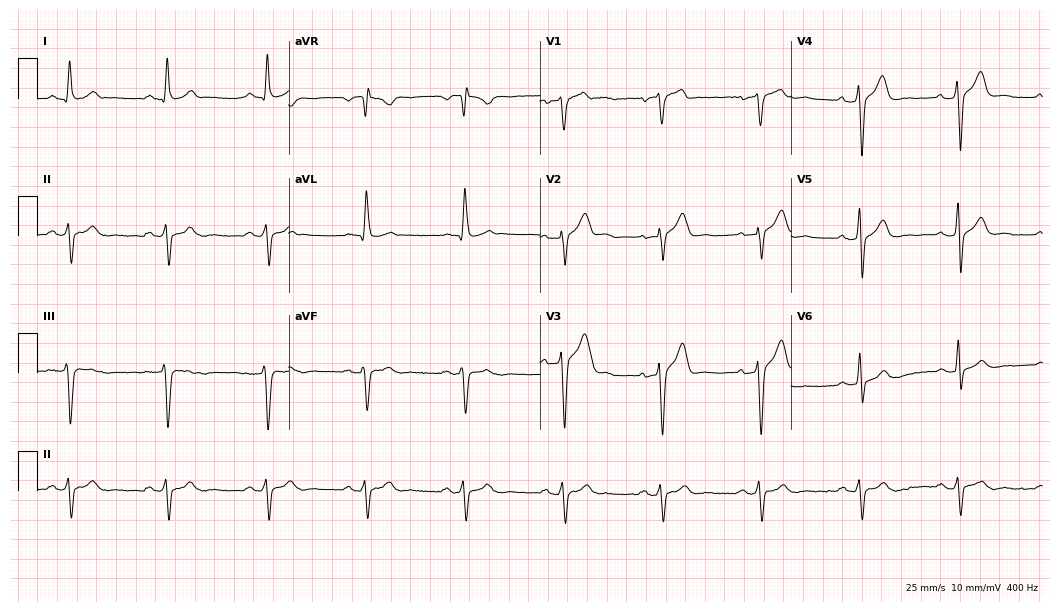
Standard 12-lead ECG recorded from a male, 56 years old (10.2-second recording at 400 Hz). None of these six findings is recorded: first-degree AV block, right bundle branch block (RBBB), left bundle branch block (LBBB), sinus bradycardia, atrial fibrillation (AF), sinus tachycardia.